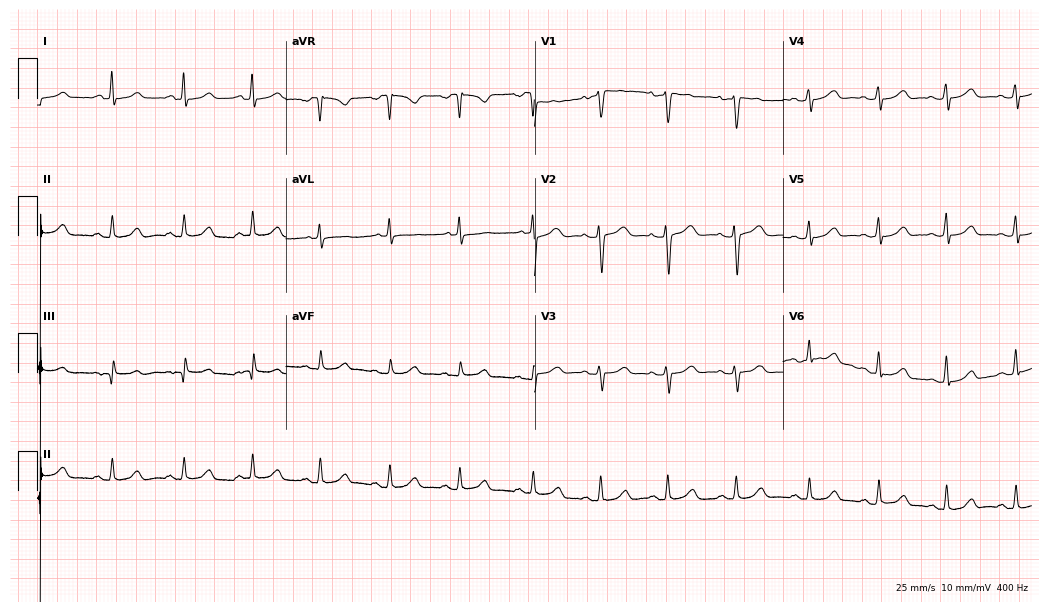
Electrocardiogram (10.1-second recording at 400 Hz), a 35-year-old woman. Overall reading on record: normal ECG.